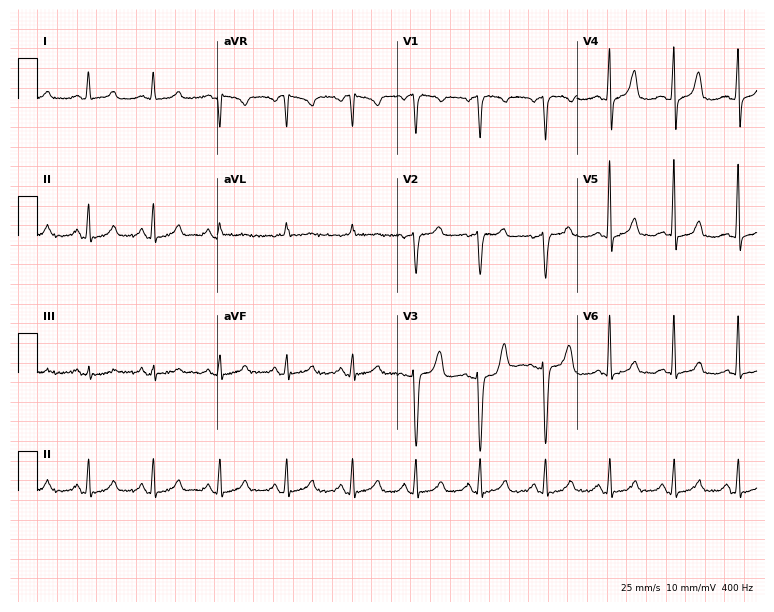
ECG — a woman, 40 years old. Labelled as a normal ECG.